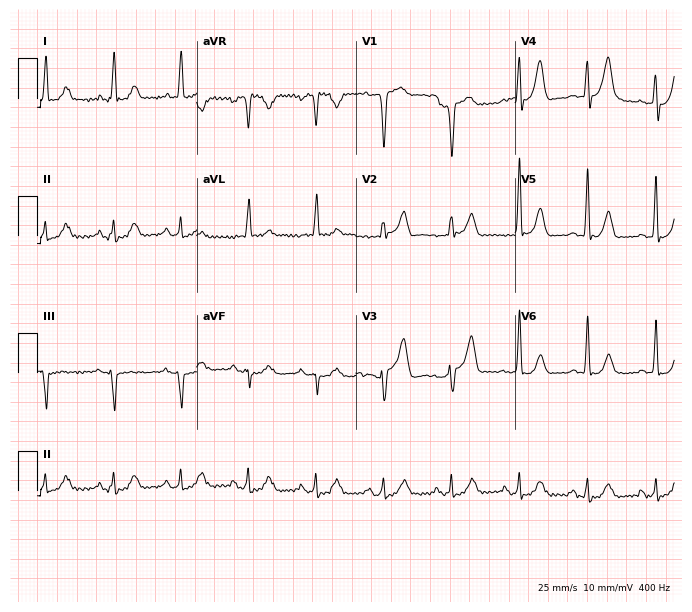
Electrocardiogram (6.5-second recording at 400 Hz), a 71-year-old male patient. Overall reading on record: normal ECG.